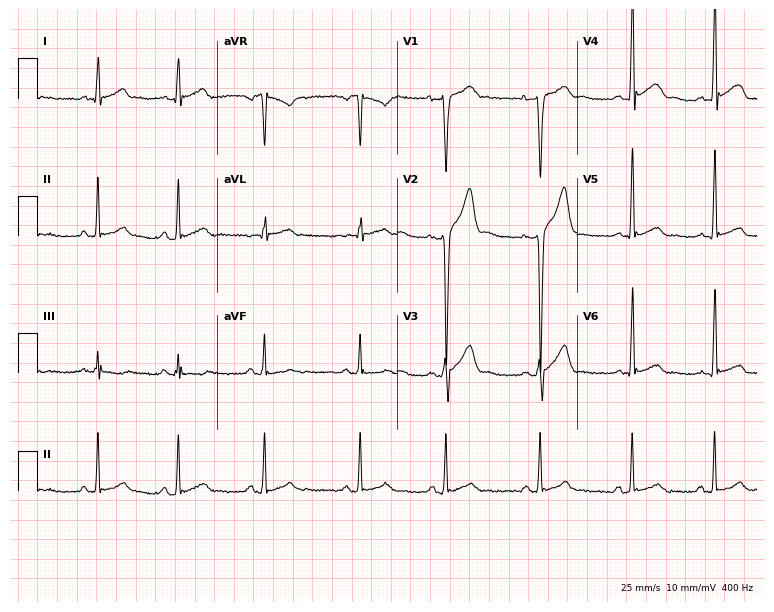
ECG — a 19-year-old male patient. Screened for six findings — first-degree AV block, right bundle branch block (RBBB), left bundle branch block (LBBB), sinus bradycardia, atrial fibrillation (AF), sinus tachycardia — none is recorded.